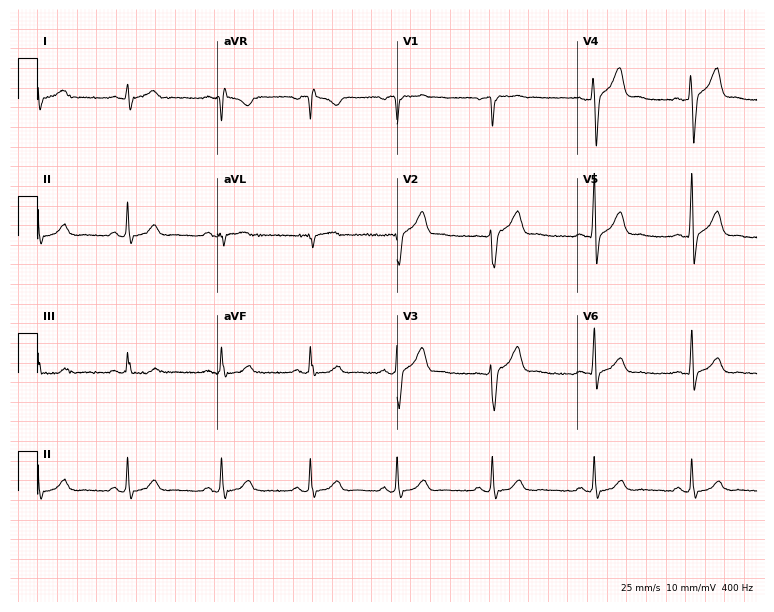
ECG — a male, 43 years old. Screened for six findings — first-degree AV block, right bundle branch block (RBBB), left bundle branch block (LBBB), sinus bradycardia, atrial fibrillation (AF), sinus tachycardia — none is recorded. Findings outside these six are not listed.